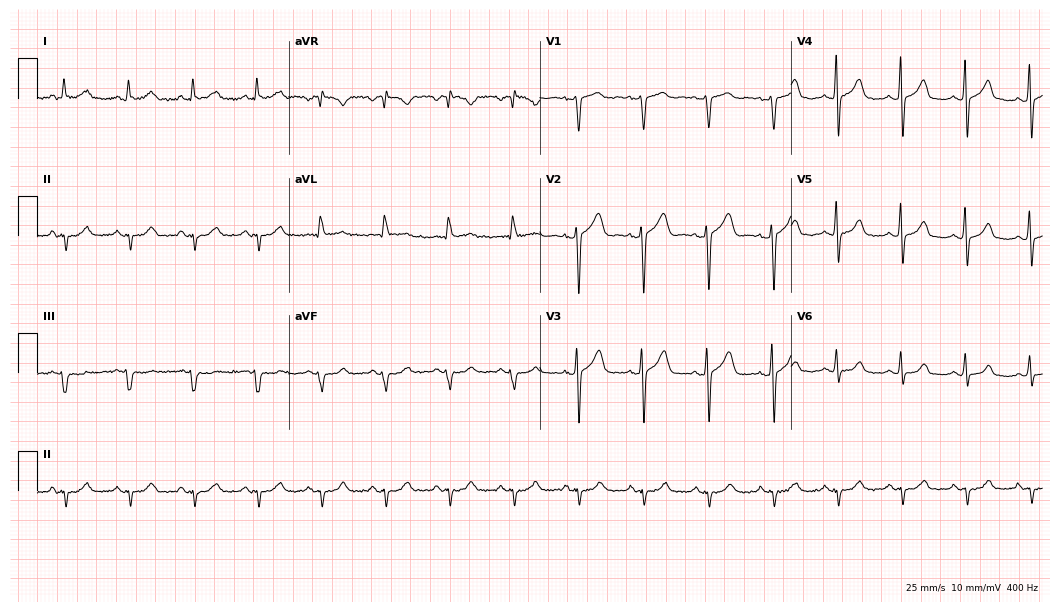
12-lead ECG from a 55-year-old male patient (10.2-second recording at 400 Hz). Recorded interpretation: within normal limits.